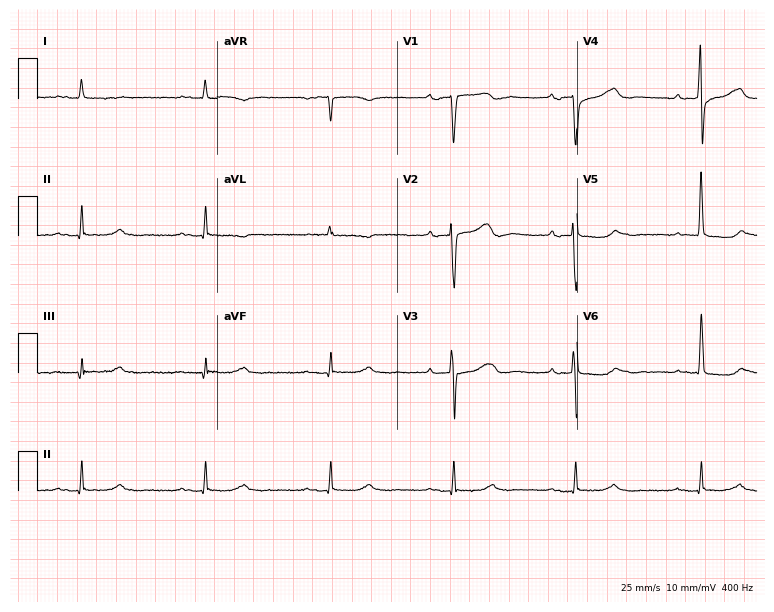
Standard 12-lead ECG recorded from a male patient, 65 years old (7.3-second recording at 400 Hz). The tracing shows sinus bradycardia (a sinus rate of 50 beats per minute or less).